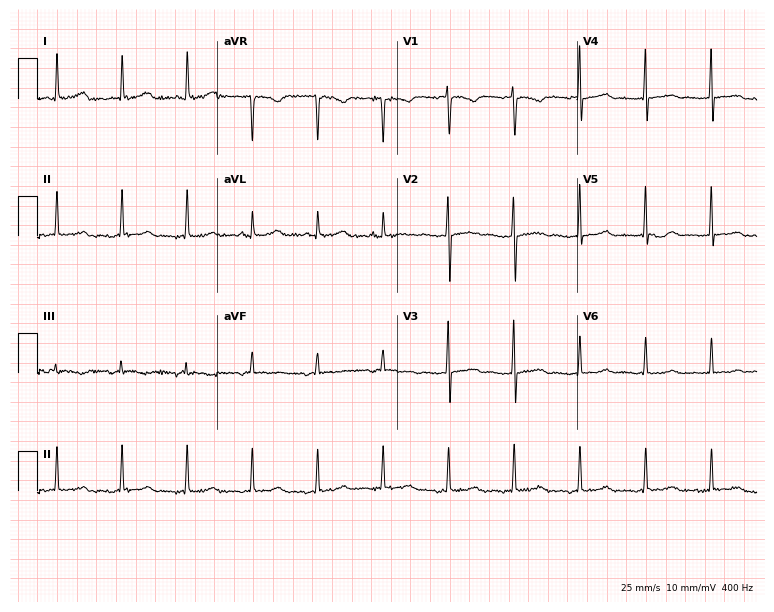
12-lead ECG from a female patient, 29 years old. Screened for six findings — first-degree AV block, right bundle branch block, left bundle branch block, sinus bradycardia, atrial fibrillation, sinus tachycardia — none is recorded. Findings outside these six are not listed.